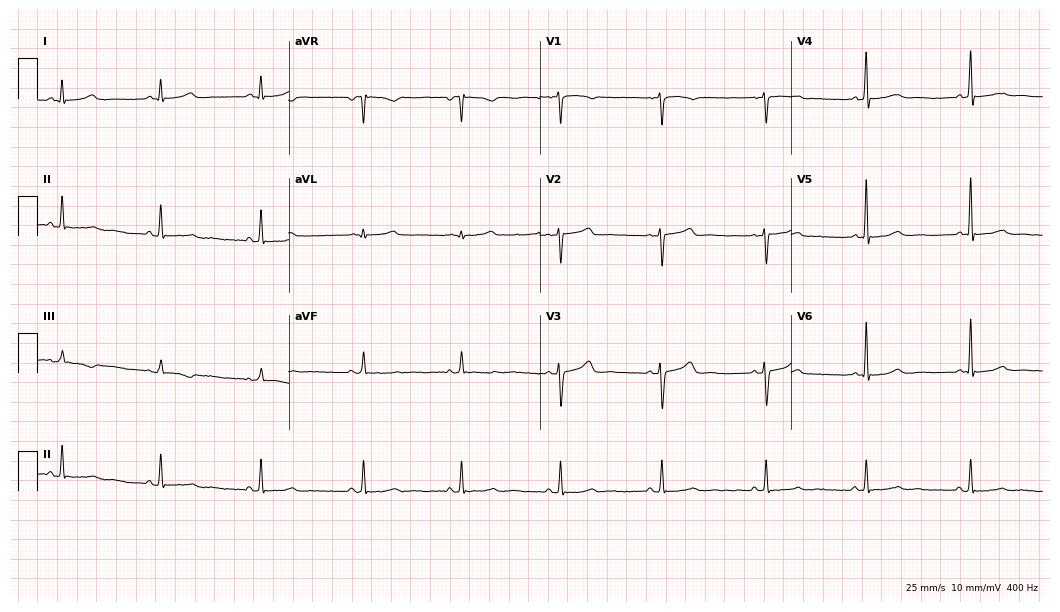
ECG (10.2-second recording at 400 Hz) — a 27-year-old woman. Labelled as a normal ECG.